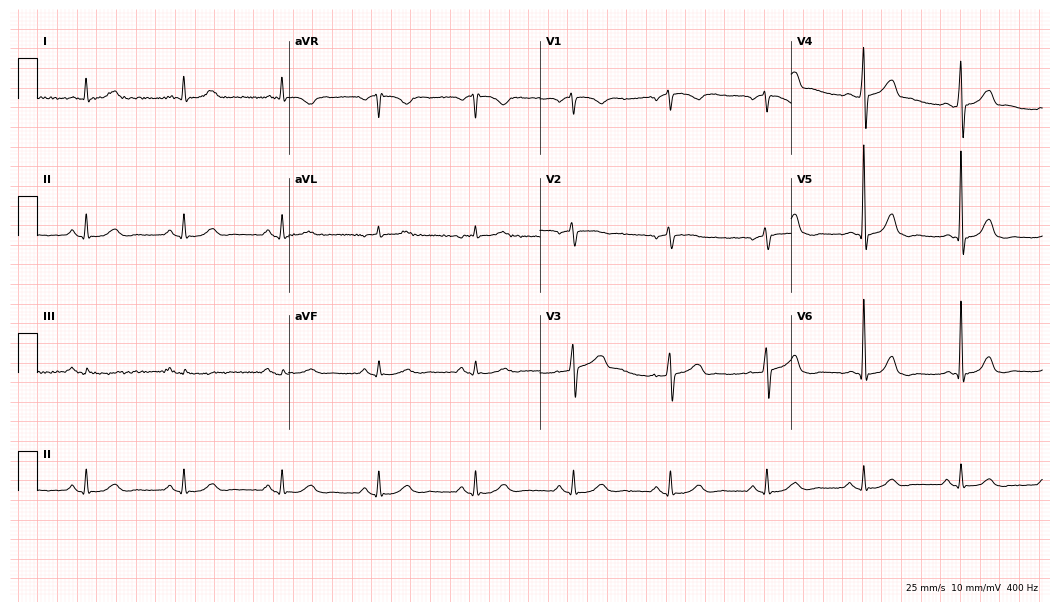
ECG — a 72-year-old man. Labelled as a normal ECG.